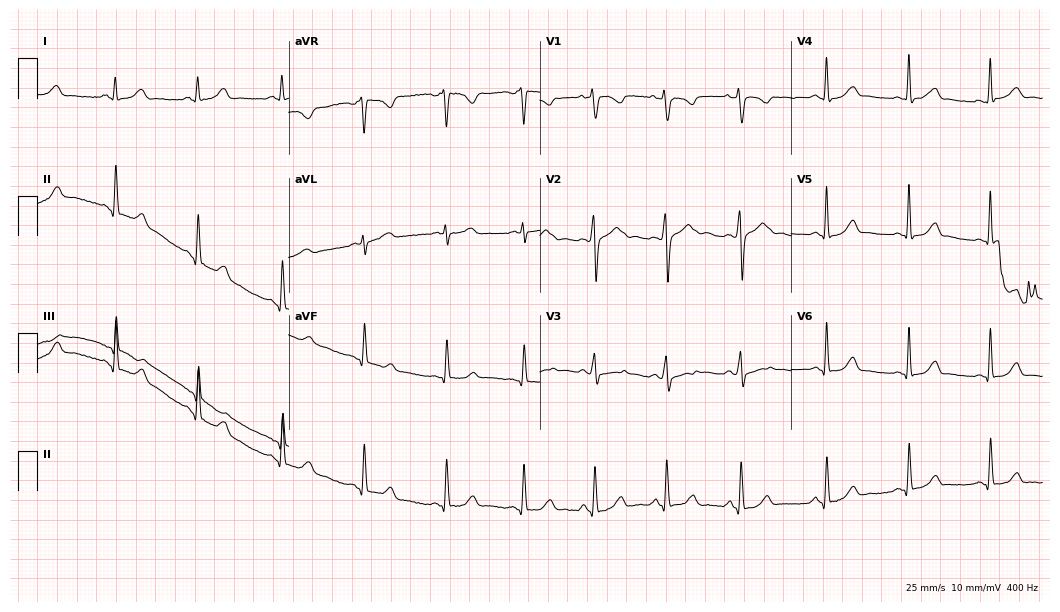
12-lead ECG from a female patient, 32 years old. Recorded interpretation: within normal limits.